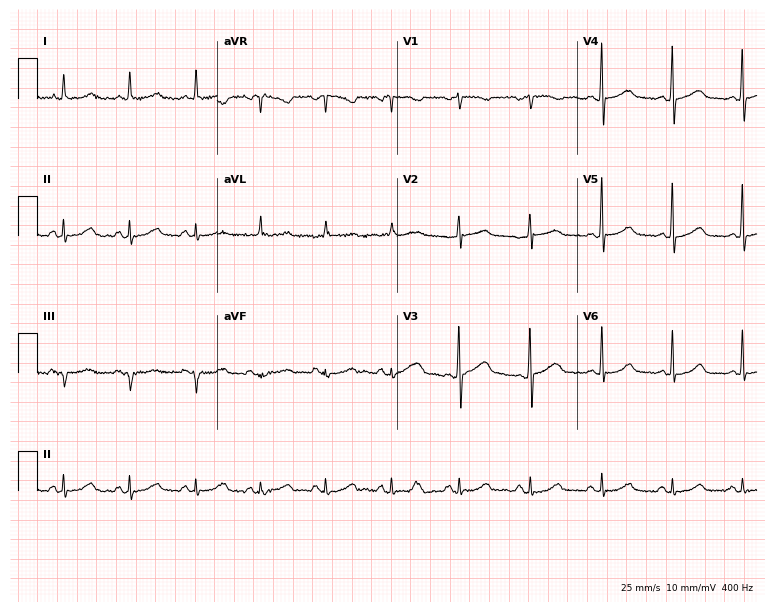
Resting 12-lead electrocardiogram. Patient: a 51-year-old woman. Read as a normal ECG.